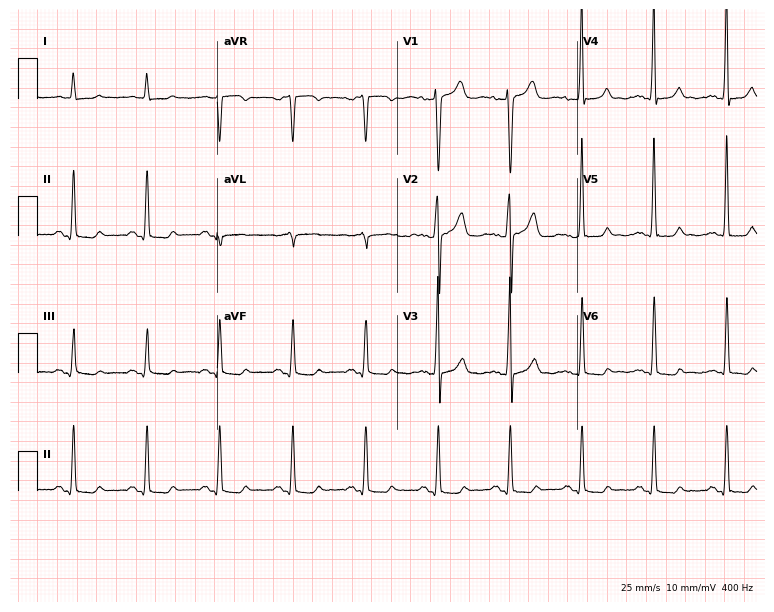
Resting 12-lead electrocardiogram. Patient: a man, 66 years old. None of these six findings is recorded: first-degree AV block, right bundle branch block, left bundle branch block, sinus bradycardia, atrial fibrillation, sinus tachycardia.